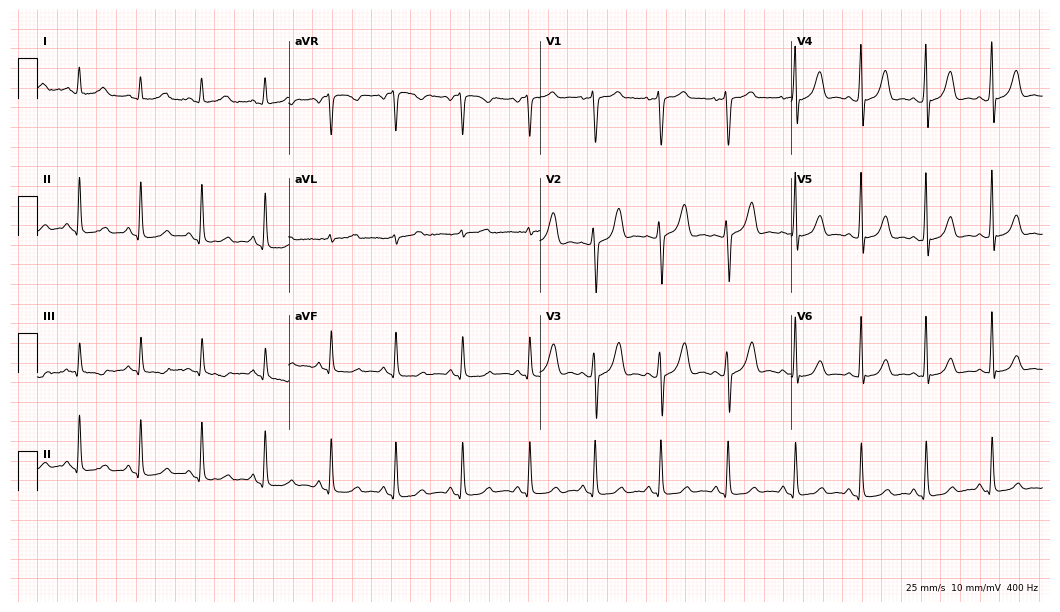
12-lead ECG from a 29-year-old woman. No first-degree AV block, right bundle branch block (RBBB), left bundle branch block (LBBB), sinus bradycardia, atrial fibrillation (AF) or sinus tachycardia recorded for this tracing. Only these six findings were labelled.